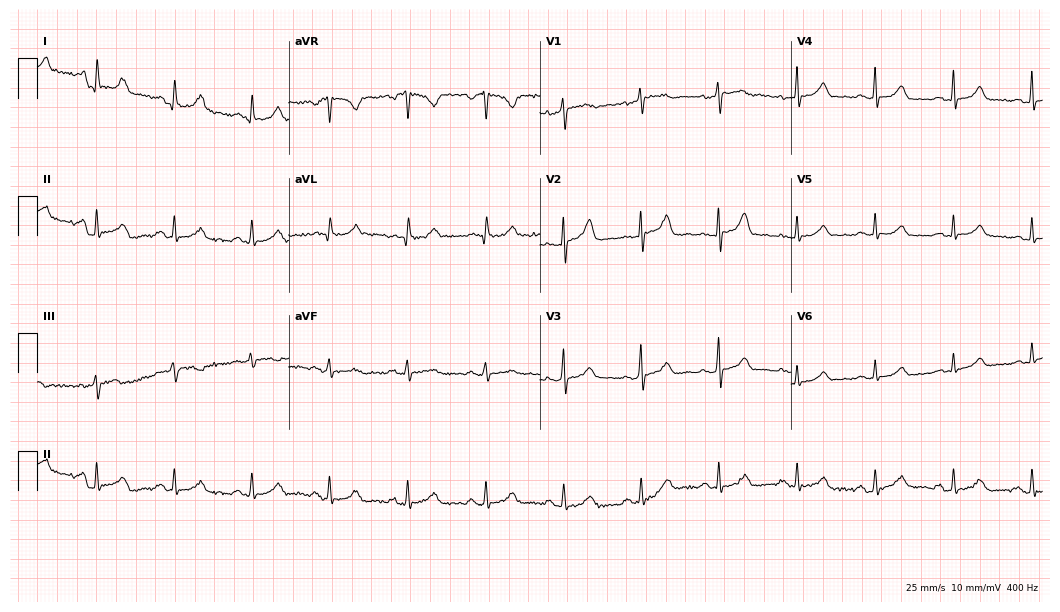
Electrocardiogram, a 60-year-old female patient. Of the six screened findings (first-degree AV block, right bundle branch block, left bundle branch block, sinus bradycardia, atrial fibrillation, sinus tachycardia), none is recorded. Other findings, if any, are not listed.